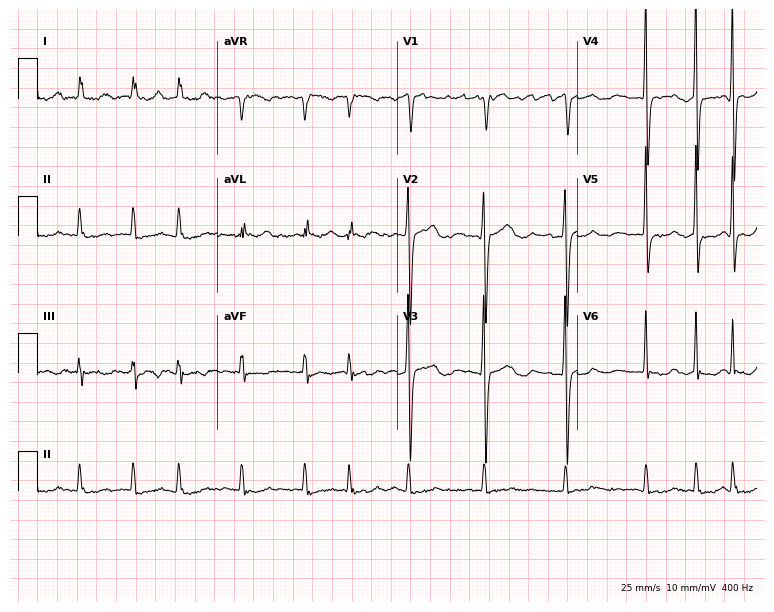
Electrocardiogram, a 74-year-old female. Interpretation includes atrial fibrillation (AF).